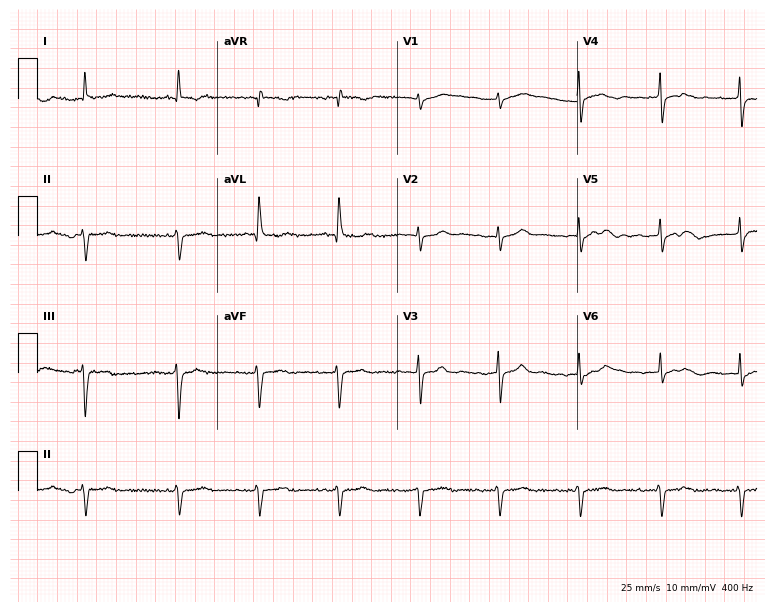
ECG (7.3-second recording at 400 Hz) — a male, 82 years old. Findings include atrial fibrillation.